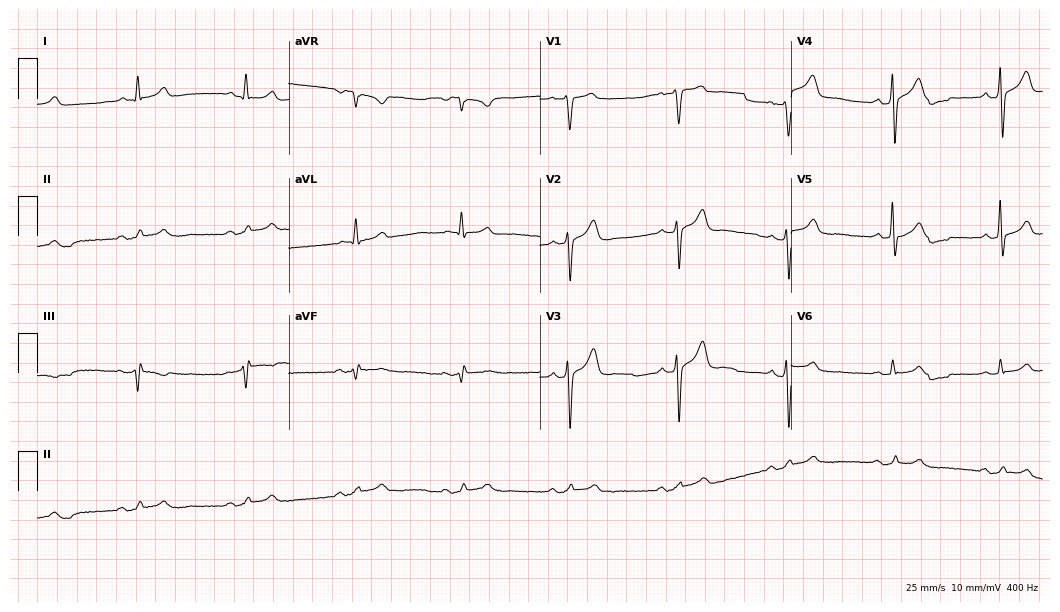
12-lead ECG (10.2-second recording at 400 Hz) from a 61-year-old male patient. Screened for six findings — first-degree AV block, right bundle branch block (RBBB), left bundle branch block (LBBB), sinus bradycardia, atrial fibrillation (AF), sinus tachycardia — none is recorded.